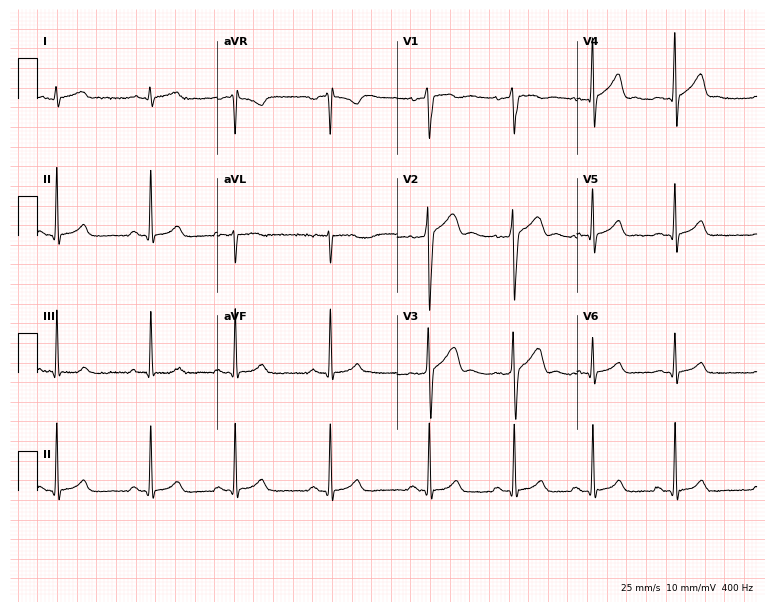
Electrocardiogram, a male patient, 17 years old. Of the six screened findings (first-degree AV block, right bundle branch block, left bundle branch block, sinus bradycardia, atrial fibrillation, sinus tachycardia), none is recorded. Other findings, if any, are not listed.